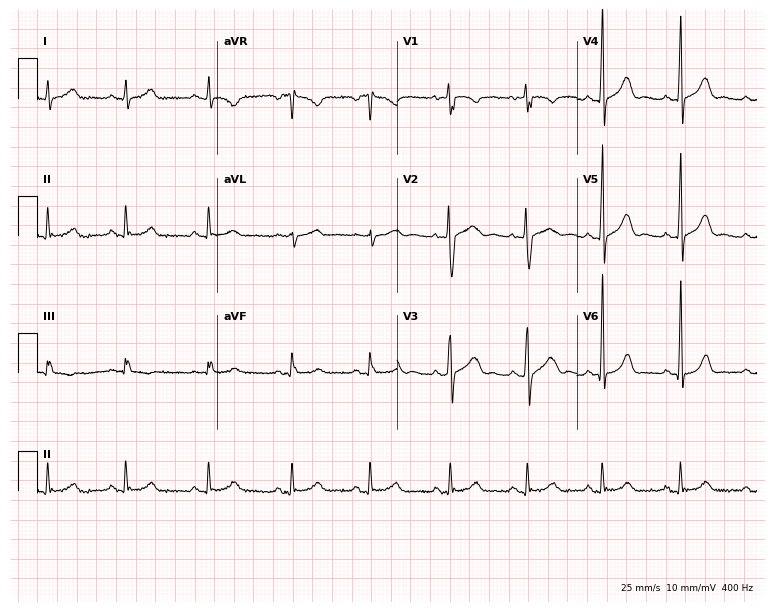
12-lead ECG from a 22-year-old female (7.3-second recording at 400 Hz). No first-degree AV block, right bundle branch block, left bundle branch block, sinus bradycardia, atrial fibrillation or sinus tachycardia recorded for this tracing. Findings outside these six are not listed.